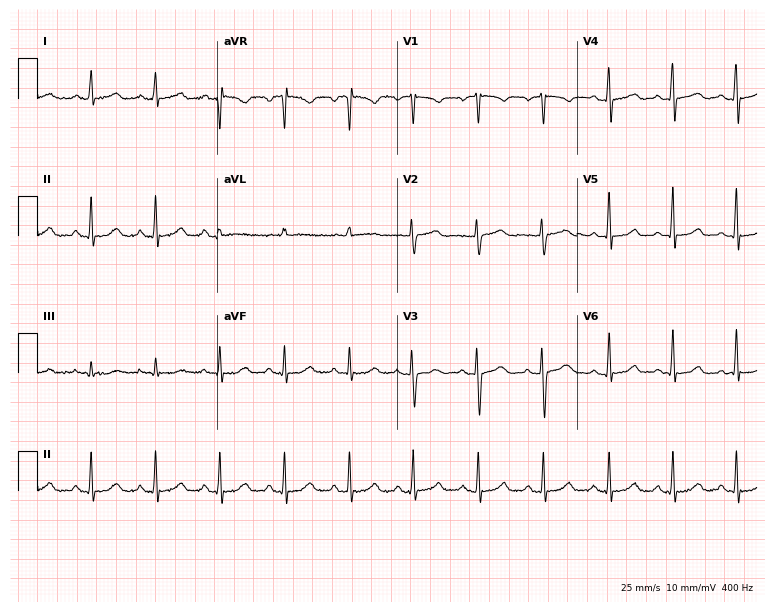
Standard 12-lead ECG recorded from a 54-year-old female patient (7.3-second recording at 400 Hz). Read as a normal ECG.